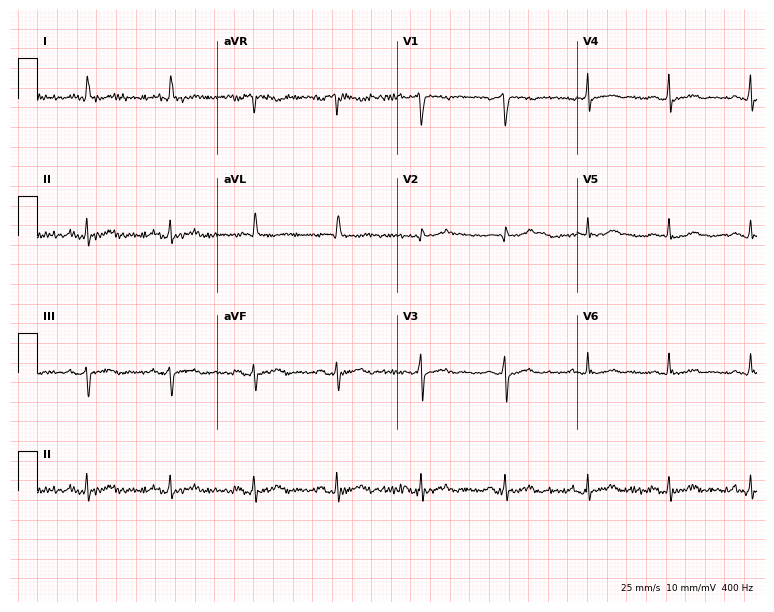
Resting 12-lead electrocardiogram. Patient: a male, 69 years old. None of these six findings is recorded: first-degree AV block, right bundle branch block, left bundle branch block, sinus bradycardia, atrial fibrillation, sinus tachycardia. Only these six findings were labelled.